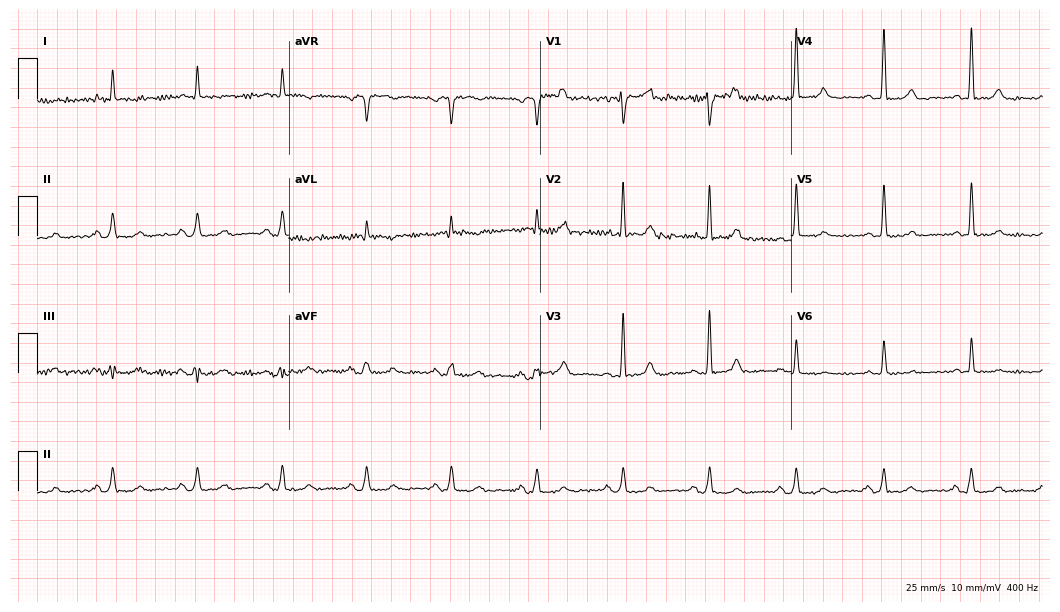
Standard 12-lead ECG recorded from an 80-year-old man (10.2-second recording at 400 Hz). None of these six findings is recorded: first-degree AV block, right bundle branch block (RBBB), left bundle branch block (LBBB), sinus bradycardia, atrial fibrillation (AF), sinus tachycardia.